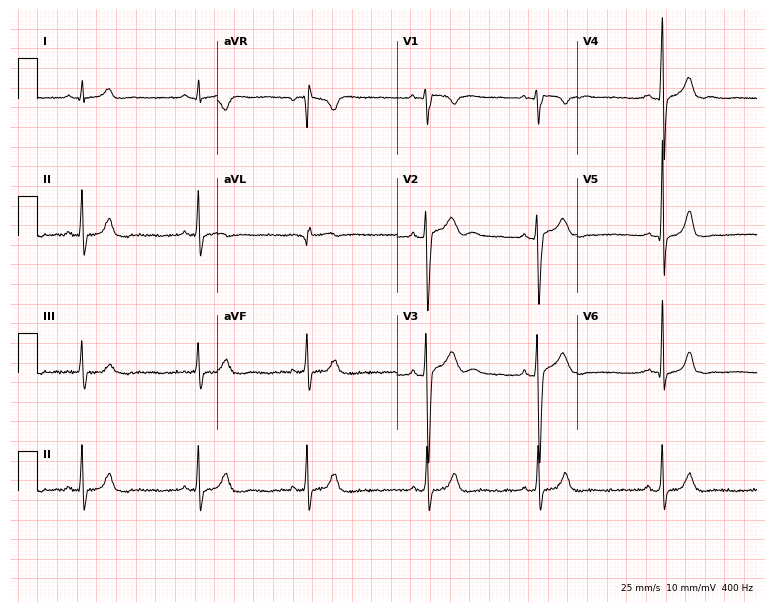
Standard 12-lead ECG recorded from a male, 24 years old (7.3-second recording at 400 Hz). Read as a normal ECG.